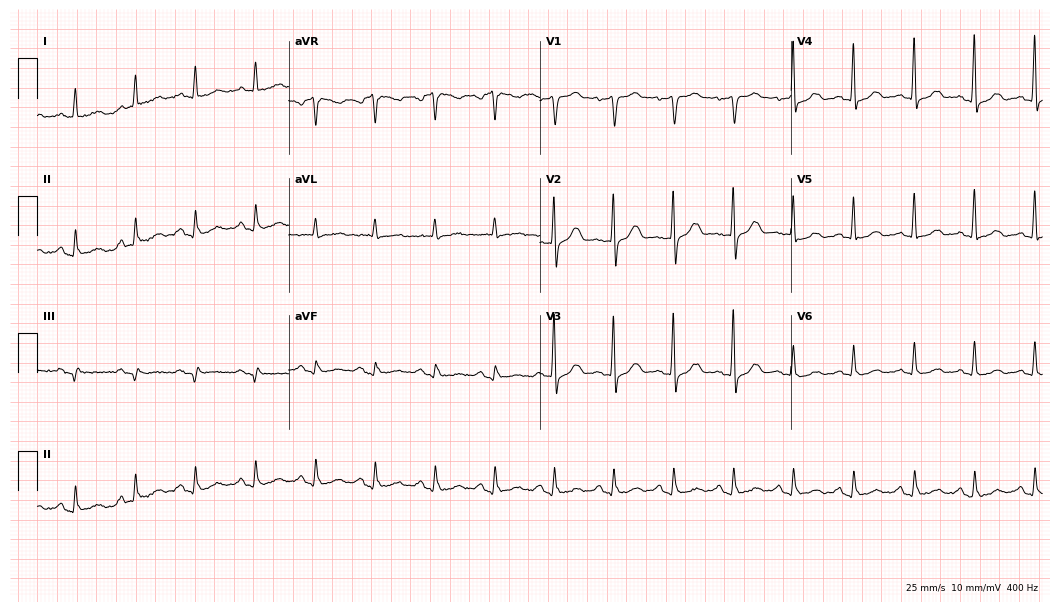
Resting 12-lead electrocardiogram. Patient: a male, 79 years old. Read as a normal ECG.